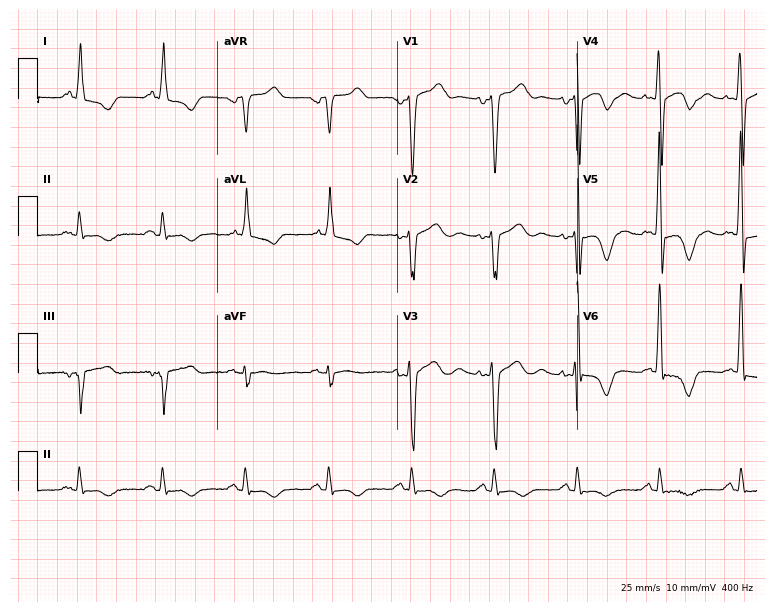
Electrocardiogram, a 51-year-old male. Of the six screened findings (first-degree AV block, right bundle branch block (RBBB), left bundle branch block (LBBB), sinus bradycardia, atrial fibrillation (AF), sinus tachycardia), none is recorded.